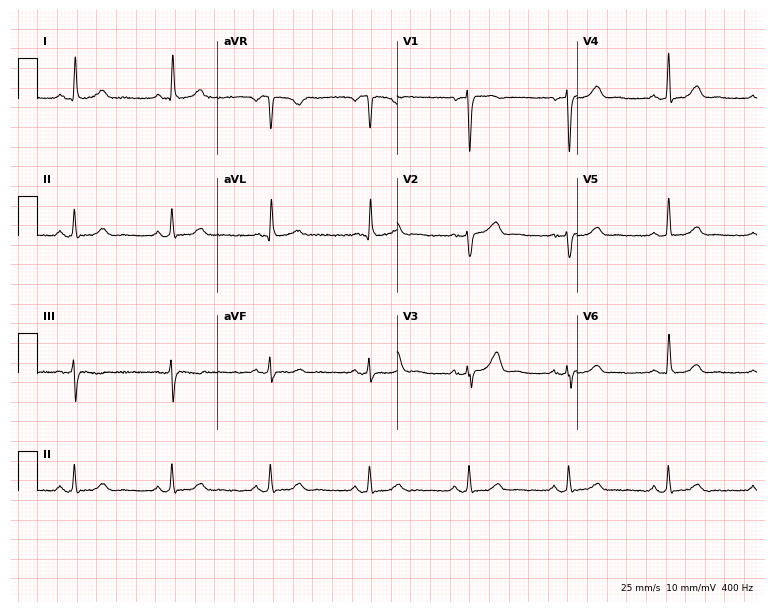
Resting 12-lead electrocardiogram (7.3-second recording at 400 Hz). Patient: a 66-year-old female. None of these six findings is recorded: first-degree AV block, right bundle branch block (RBBB), left bundle branch block (LBBB), sinus bradycardia, atrial fibrillation (AF), sinus tachycardia. Other findings, if any, are not listed.